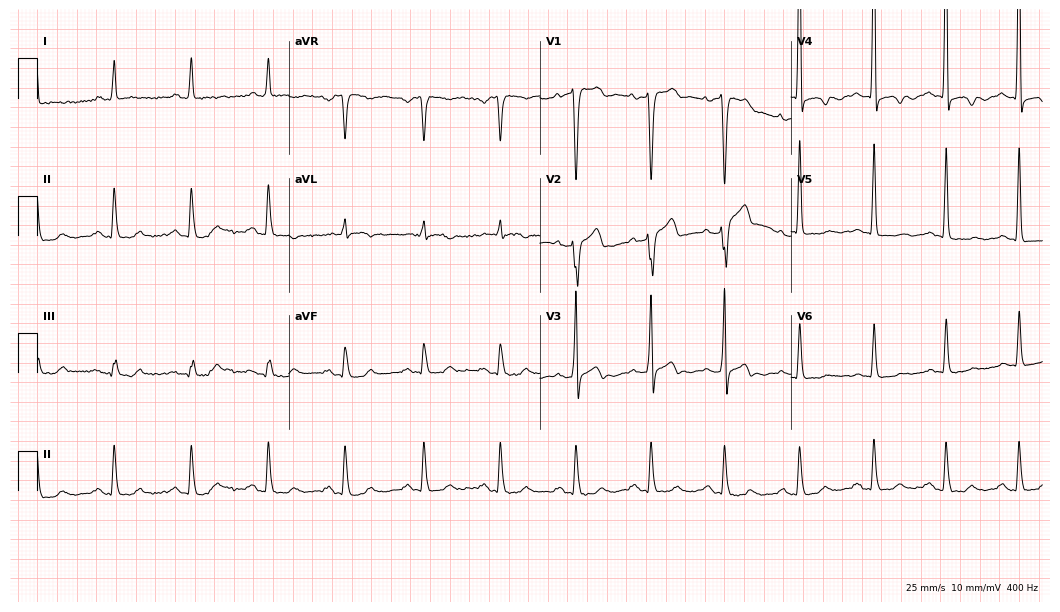
Resting 12-lead electrocardiogram (10.2-second recording at 400 Hz). Patient: a 59-year-old man. None of these six findings is recorded: first-degree AV block, right bundle branch block (RBBB), left bundle branch block (LBBB), sinus bradycardia, atrial fibrillation (AF), sinus tachycardia.